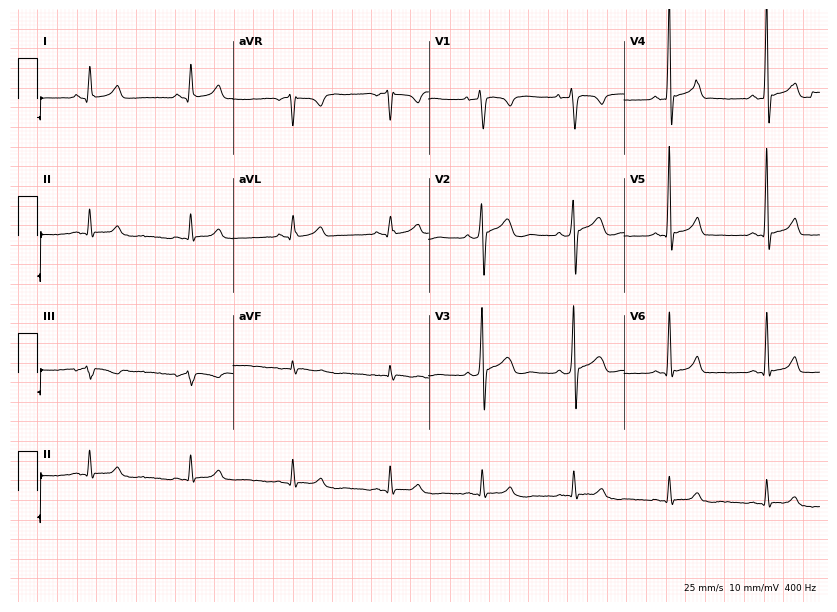
12-lead ECG from a 28-year-old man (8-second recording at 400 Hz). No first-degree AV block, right bundle branch block, left bundle branch block, sinus bradycardia, atrial fibrillation or sinus tachycardia recorded for this tracing.